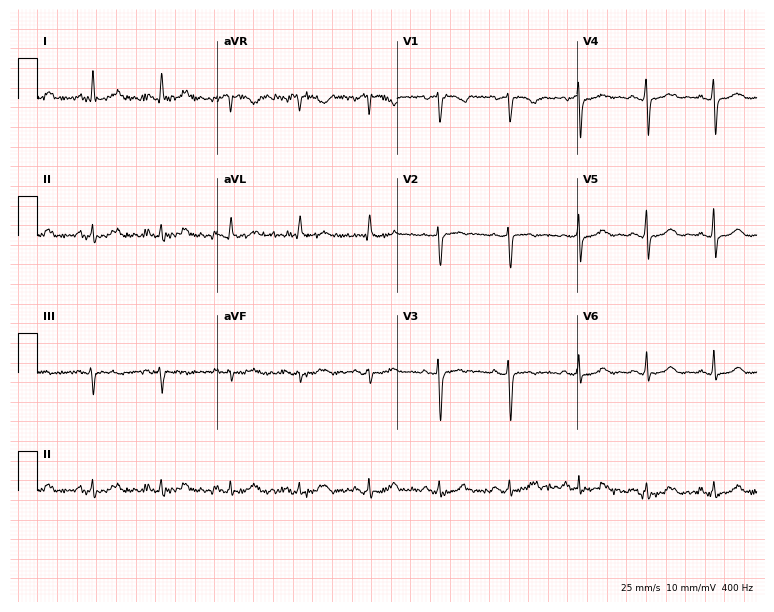
Standard 12-lead ECG recorded from a female, 47 years old (7.3-second recording at 400 Hz). None of these six findings is recorded: first-degree AV block, right bundle branch block, left bundle branch block, sinus bradycardia, atrial fibrillation, sinus tachycardia. Findings outside these six are not listed.